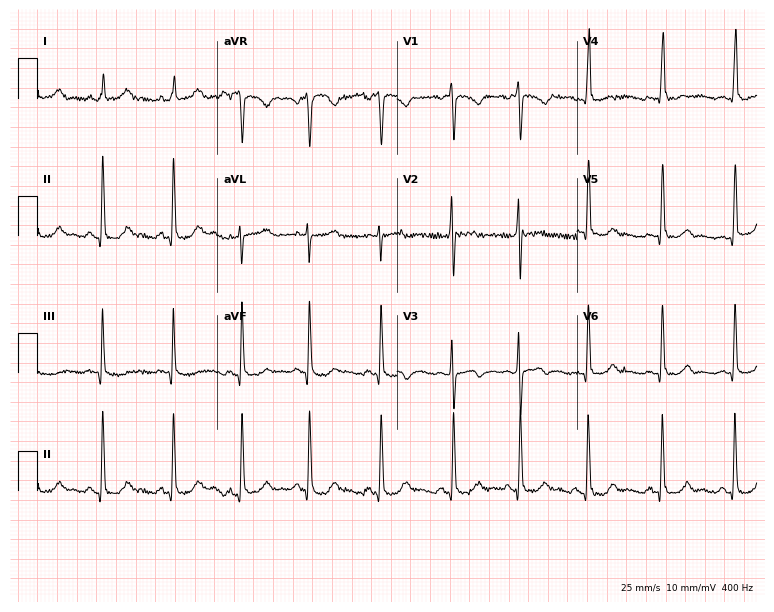
12-lead ECG (7.3-second recording at 400 Hz) from a female, 20 years old. Labelled as a normal ECG.